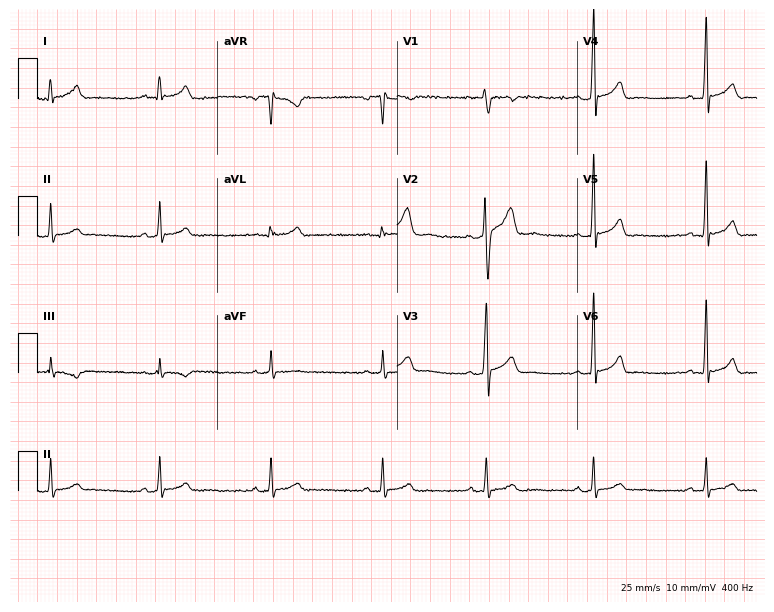
12-lead ECG (7.3-second recording at 400 Hz) from a male, 31 years old. Screened for six findings — first-degree AV block, right bundle branch block, left bundle branch block, sinus bradycardia, atrial fibrillation, sinus tachycardia — none is recorded.